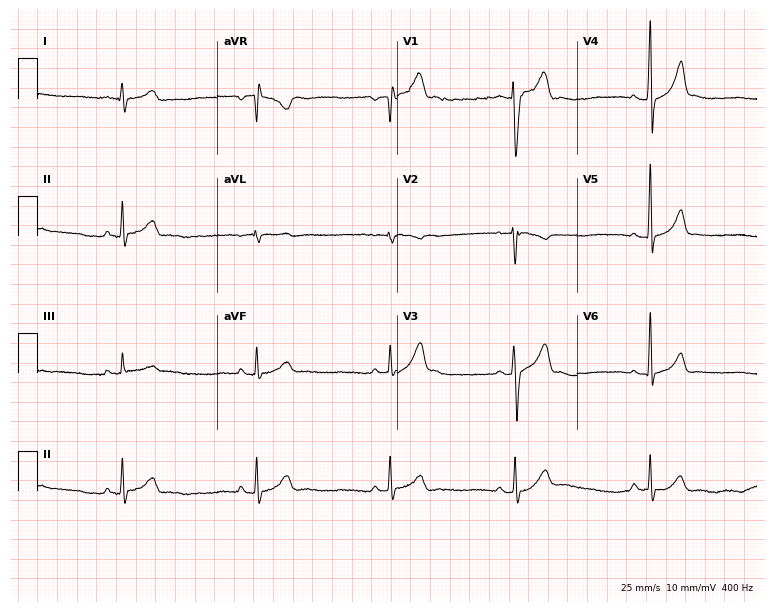
Standard 12-lead ECG recorded from an 18-year-old man (7.3-second recording at 400 Hz). The tracing shows sinus bradycardia (a sinus rate of 50 beats per minute or less).